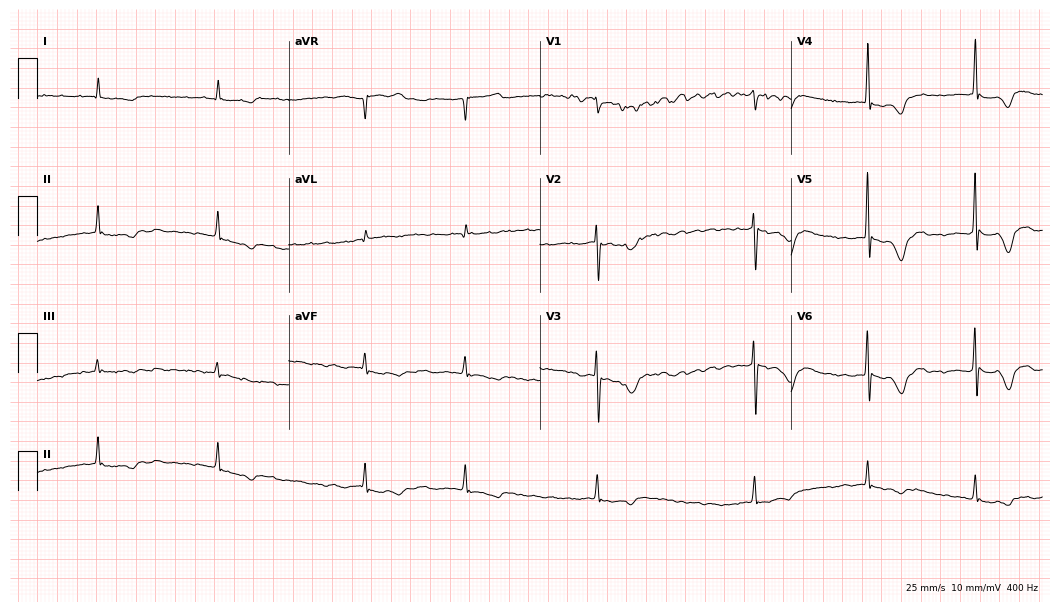
ECG (10.2-second recording at 400 Hz) — an 84-year-old female. Findings include atrial fibrillation (AF).